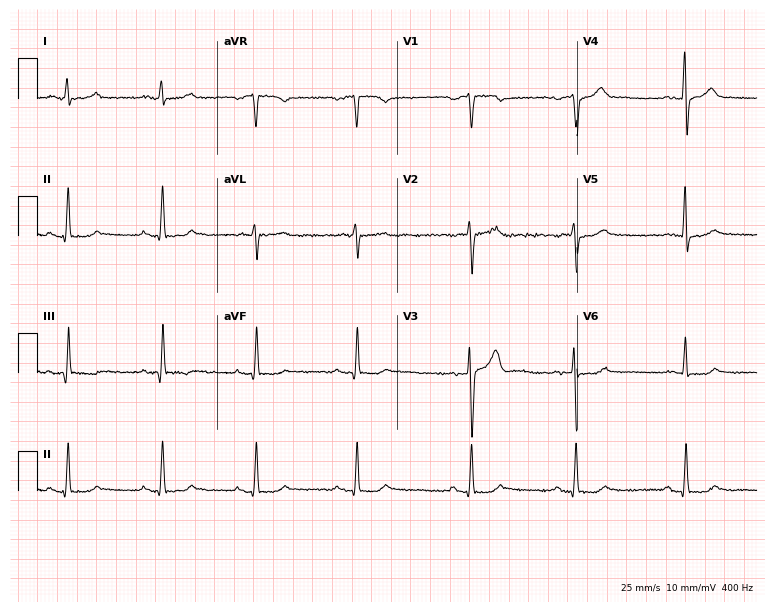
Standard 12-lead ECG recorded from a 70-year-old male. Read as a normal ECG.